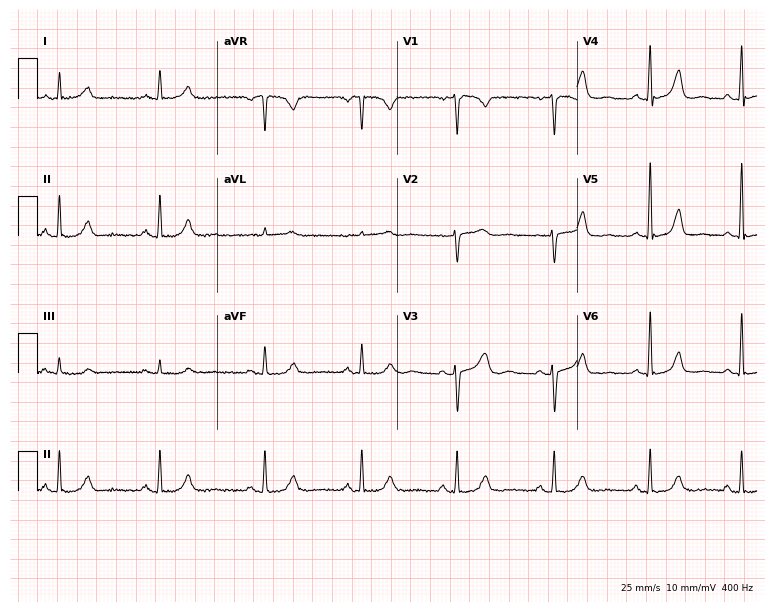
Standard 12-lead ECG recorded from a 45-year-old woman (7.3-second recording at 400 Hz). Read as a normal ECG.